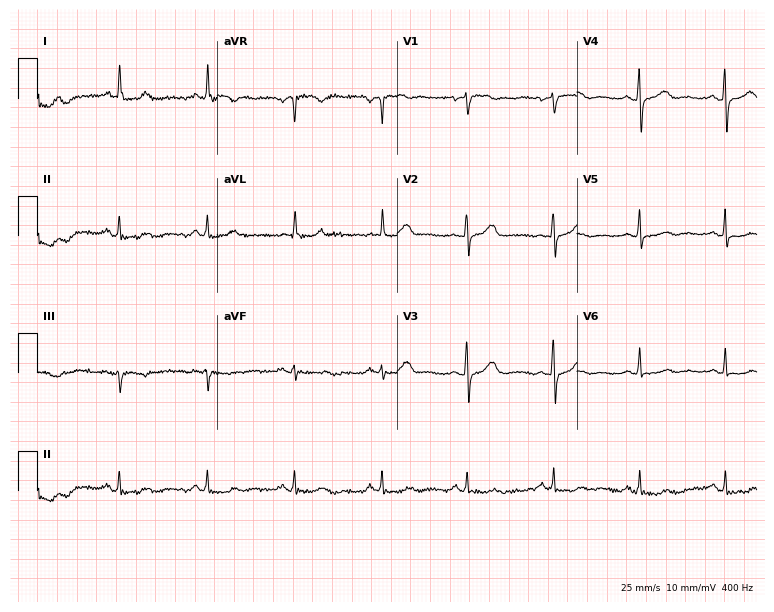
Resting 12-lead electrocardiogram. Patient: a female, 68 years old. None of these six findings is recorded: first-degree AV block, right bundle branch block, left bundle branch block, sinus bradycardia, atrial fibrillation, sinus tachycardia. Findings outside these six are not listed.